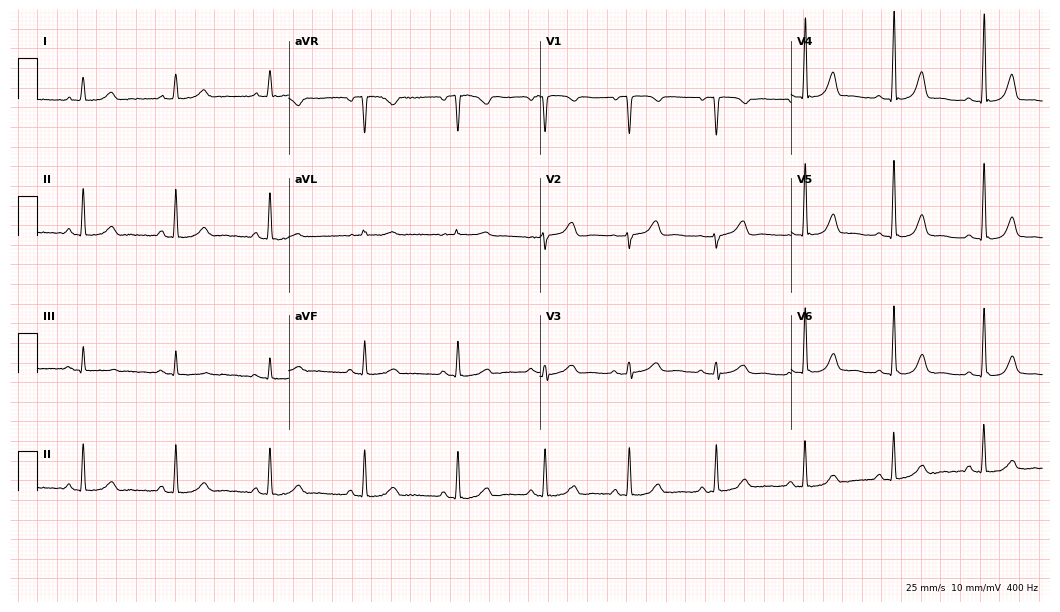
Resting 12-lead electrocardiogram. Patient: a 39-year-old female. Read as a normal ECG.